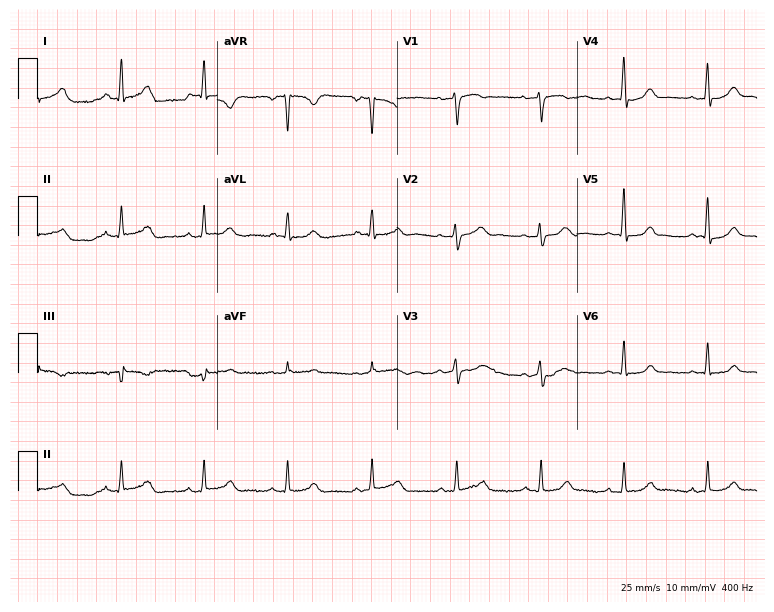
Electrocardiogram (7.3-second recording at 400 Hz), a 52-year-old woman. Overall reading on record: normal ECG.